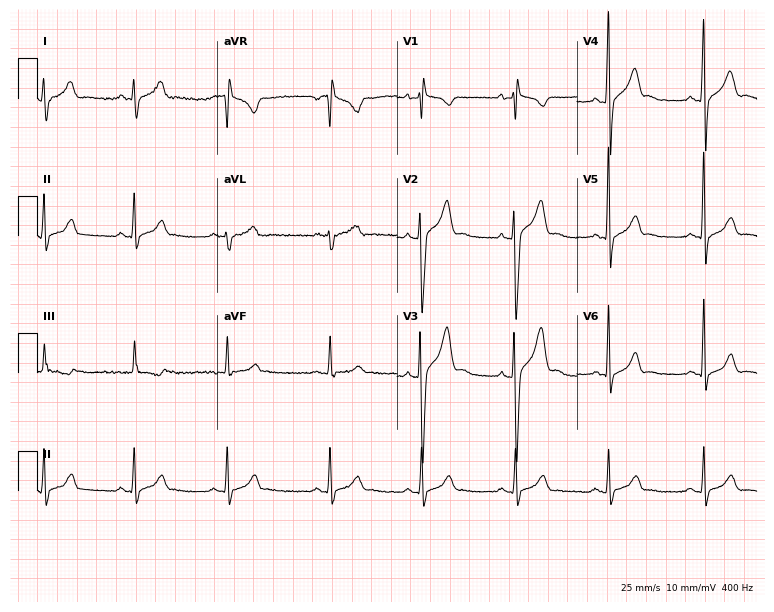
12-lead ECG (7.3-second recording at 400 Hz) from a male, 21 years old. Screened for six findings — first-degree AV block, right bundle branch block, left bundle branch block, sinus bradycardia, atrial fibrillation, sinus tachycardia — none is recorded.